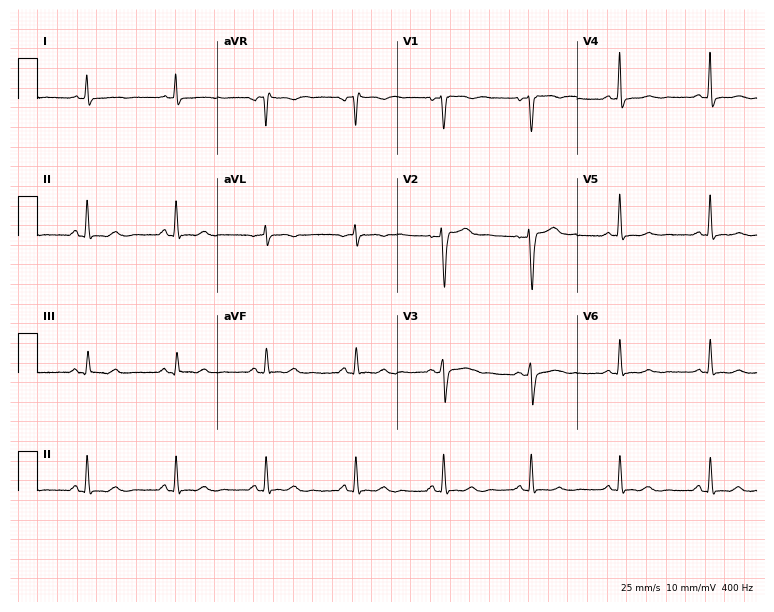
12-lead ECG from a female patient, 63 years old. Screened for six findings — first-degree AV block, right bundle branch block, left bundle branch block, sinus bradycardia, atrial fibrillation, sinus tachycardia — none is recorded. Findings outside these six are not listed.